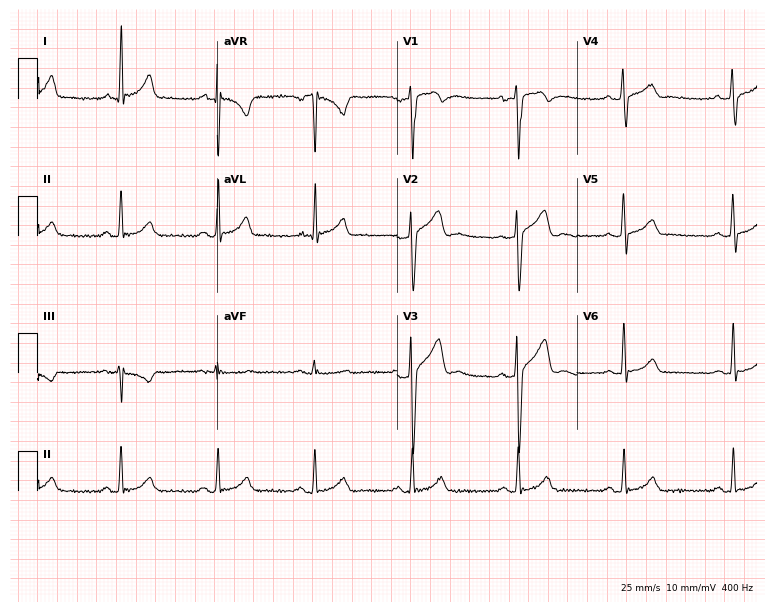
Resting 12-lead electrocardiogram. Patient: a man, 37 years old. Read as a normal ECG.